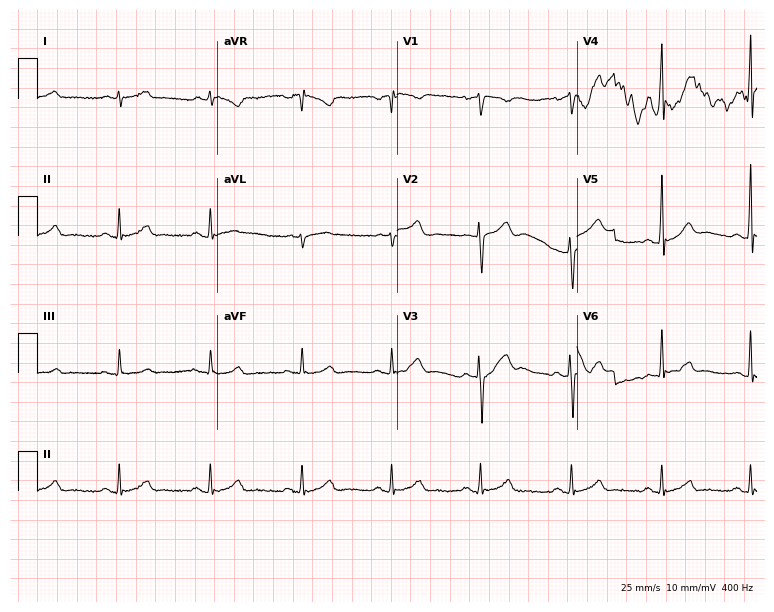
Standard 12-lead ECG recorded from a 36-year-old male patient (7.3-second recording at 400 Hz). None of these six findings is recorded: first-degree AV block, right bundle branch block, left bundle branch block, sinus bradycardia, atrial fibrillation, sinus tachycardia.